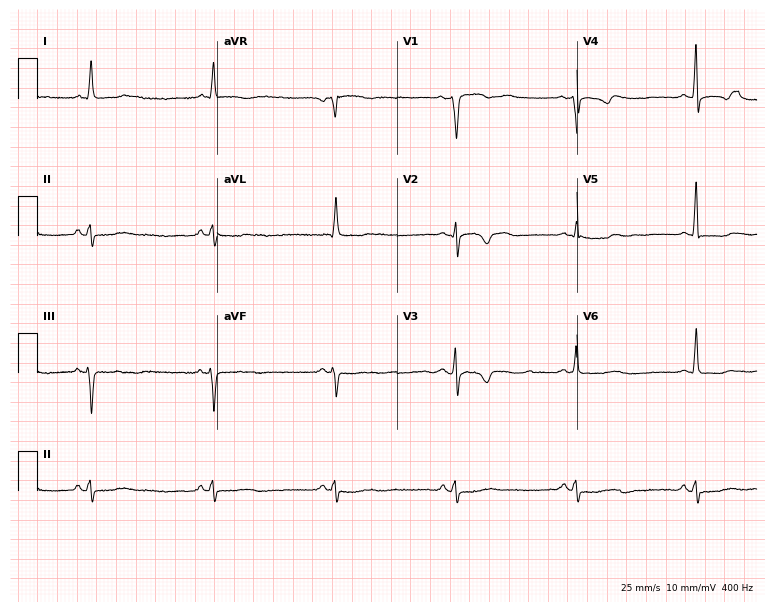
12-lead ECG (7.3-second recording at 400 Hz) from a man, 69 years old. Screened for six findings — first-degree AV block, right bundle branch block (RBBB), left bundle branch block (LBBB), sinus bradycardia, atrial fibrillation (AF), sinus tachycardia — none is recorded.